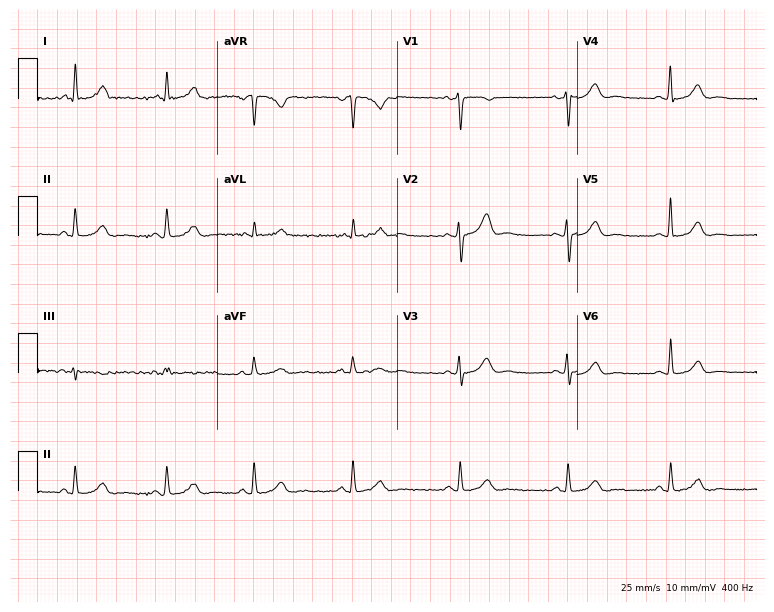
12-lead ECG (7.3-second recording at 400 Hz) from a female patient, 35 years old. Screened for six findings — first-degree AV block, right bundle branch block, left bundle branch block, sinus bradycardia, atrial fibrillation, sinus tachycardia — none is recorded. Only these six findings were labelled.